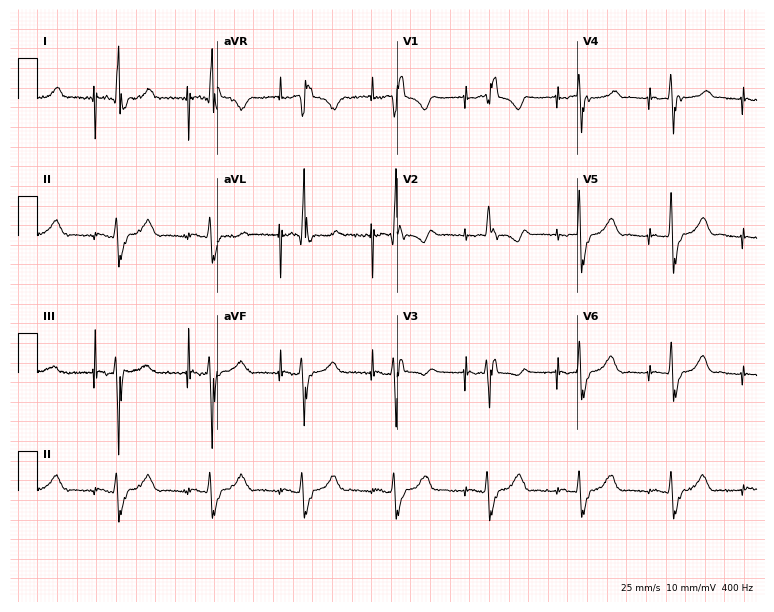
ECG — a female patient, 73 years old. Findings include first-degree AV block.